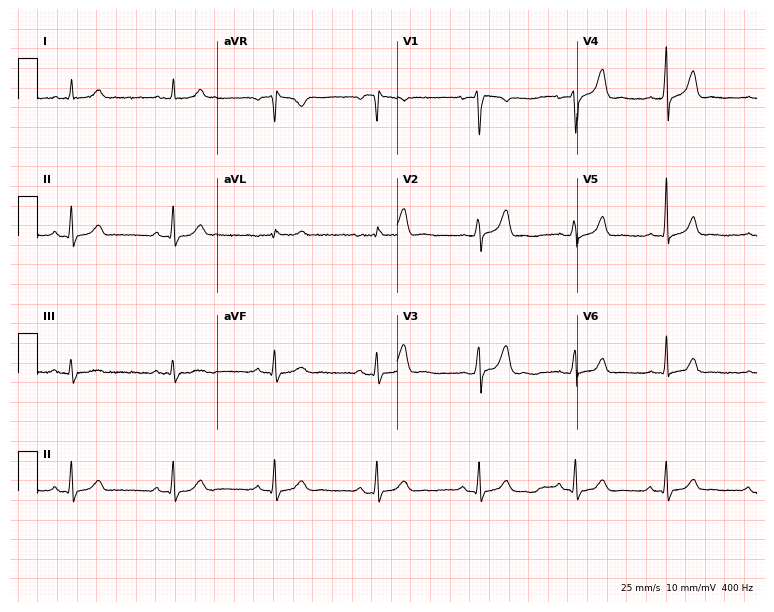
Electrocardiogram, a male, 21 years old. Overall reading on record: normal ECG.